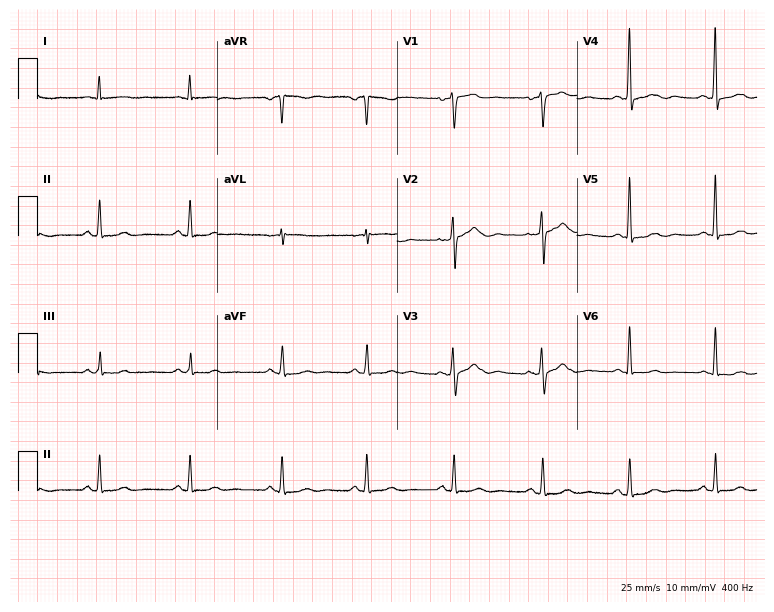
12-lead ECG (7.3-second recording at 400 Hz) from a female, 63 years old. Screened for six findings — first-degree AV block, right bundle branch block, left bundle branch block, sinus bradycardia, atrial fibrillation, sinus tachycardia — none is recorded. Only these six findings were labelled.